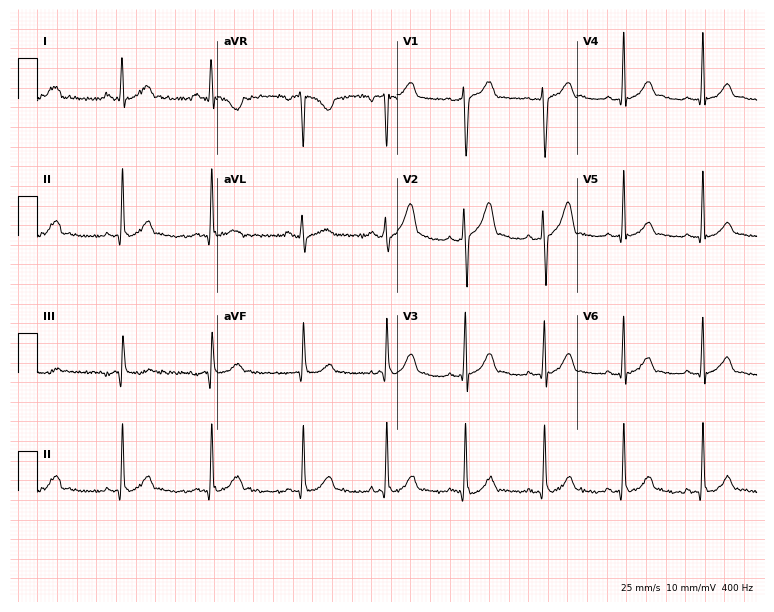
12-lead ECG from a 22-year-old man. No first-degree AV block, right bundle branch block, left bundle branch block, sinus bradycardia, atrial fibrillation or sinus tachycardia recorded for this tracing. Other findings, if any, are not listed.